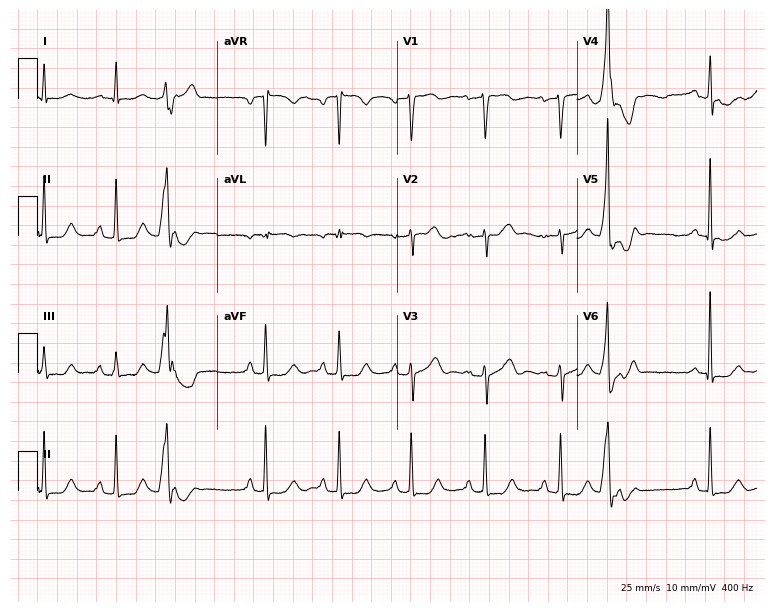
12-lead ECG from a male patient, 78 years old. Screened for six findings — first-degree AV block, right bundle branch block, left bundle branch block, sinus bradycardia, atrial fibrillation, sinus tachycardia — none is recorded. Other findings, if any, are not listed.